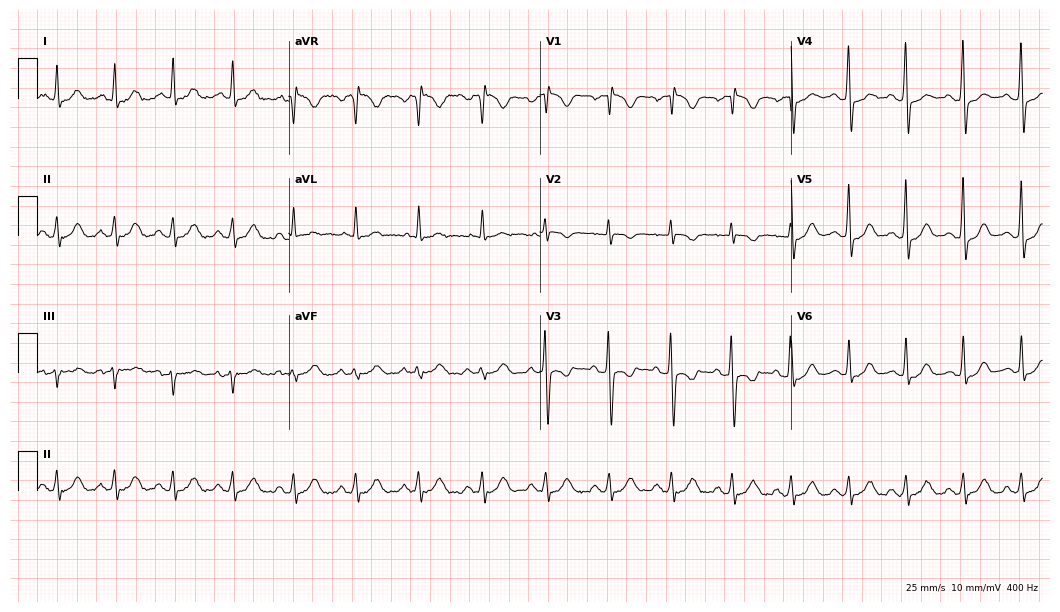
Electrocardiogram (10.2-second recording at 400 Hz), a 55-year-old man. Overall reading on record: normal ECG.